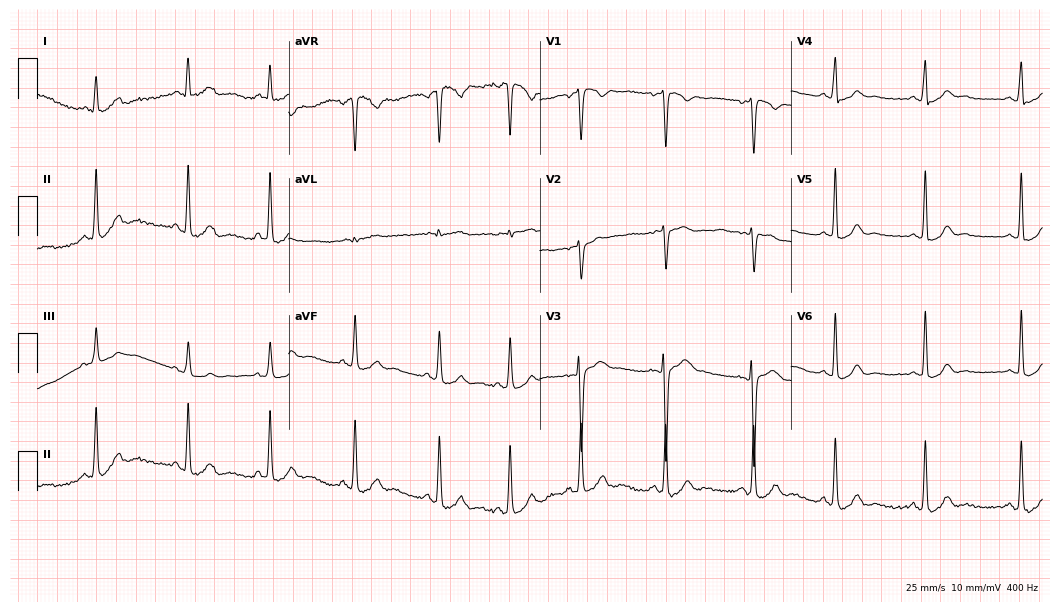
Standard 12-lead ECG recorded from an 18-year-old woman (10.2-second recording at 400 Hz). Read as a normal ECG.